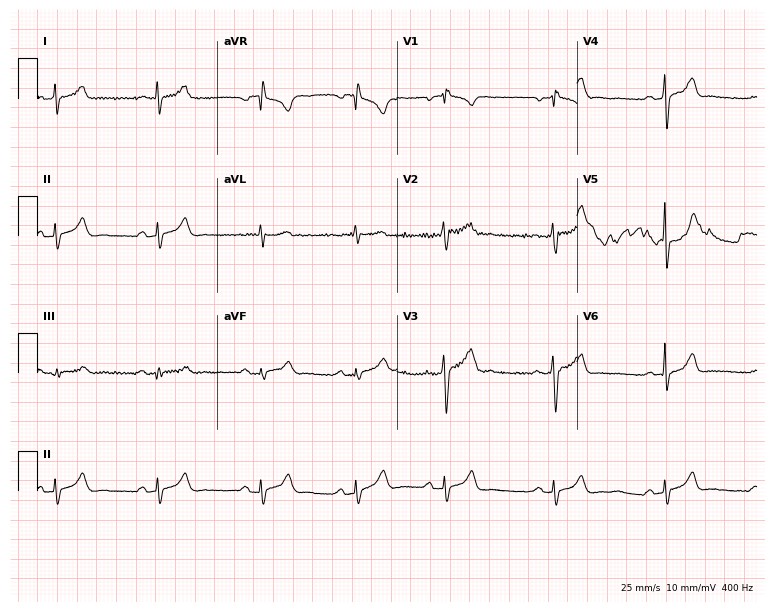
12-lead ECG (7.3-second recording at 400 Hz) from a man, 36 years old. Screened for six findings — first-degree AV block, right bundle branch block, left bundle branch block, sinus bradycardia, atrial fibrillation, sinus tachycardia — none is recorded. Only these six findings were labelled.